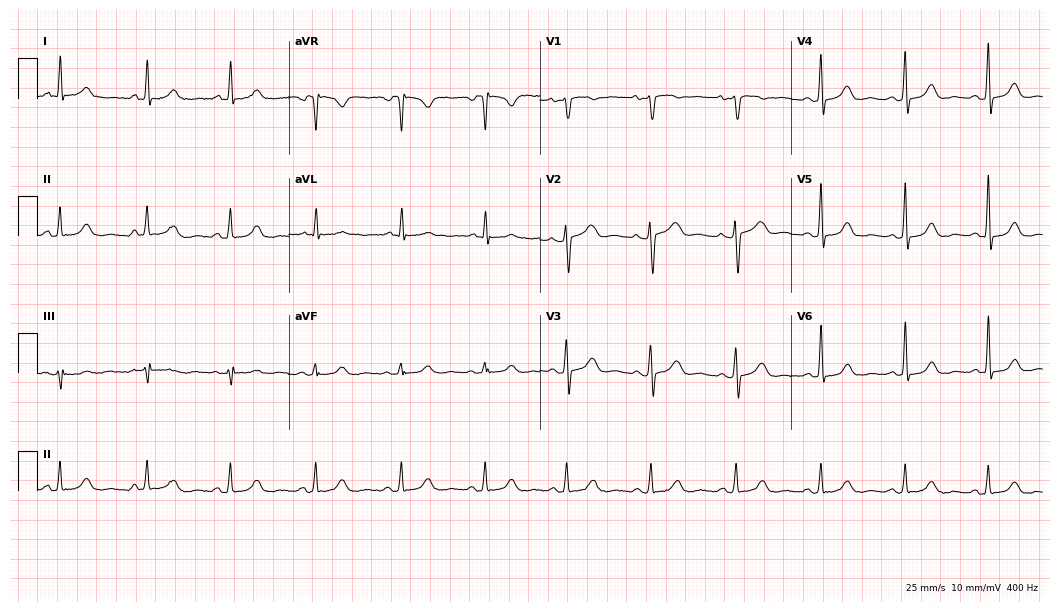
12-lead ECG from a female, 50 years old. No first-degree AV block, right bundle branch block (RBBB), left bundle branch block (LBBB), sinus bradycardia, atrial fibrillation (AF) or sinus tachycardia recorded for this tracing. Other findings, if any, are not listed.